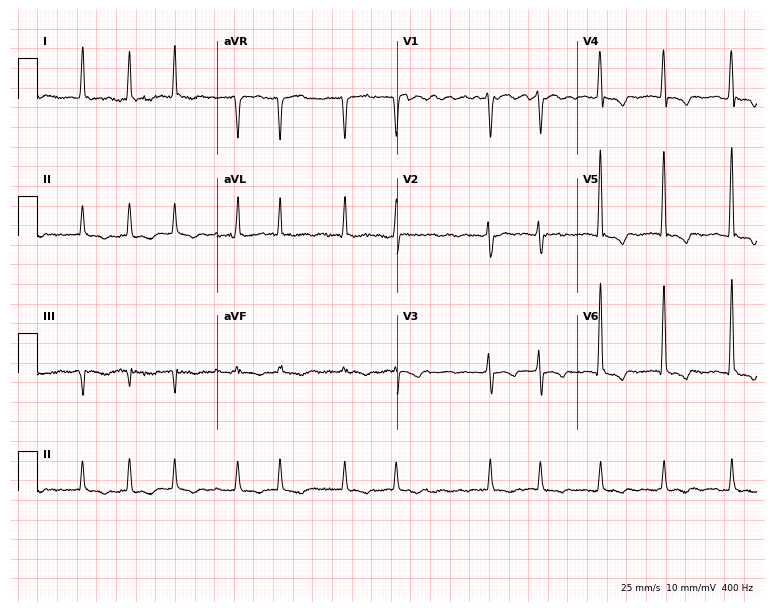
12-lead ECG (7.3-second recording at 400 Hz) from a 65-year-old male patient. Findings include atrial fibrillation.